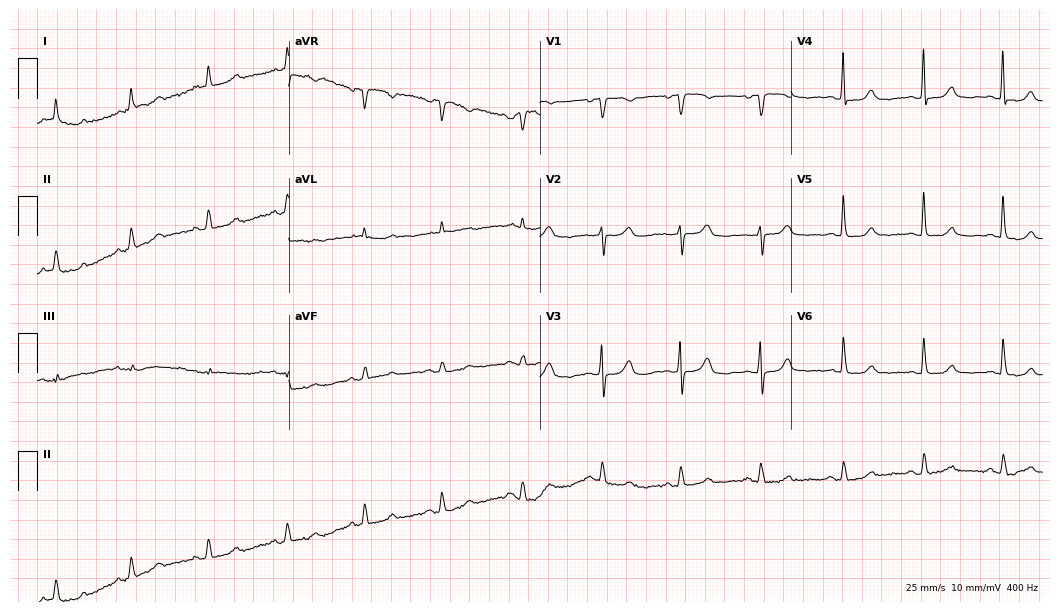
ECG (10.2-second recording at 400 Hz) — a female, 84 years old. Labelled as a normal ECG.